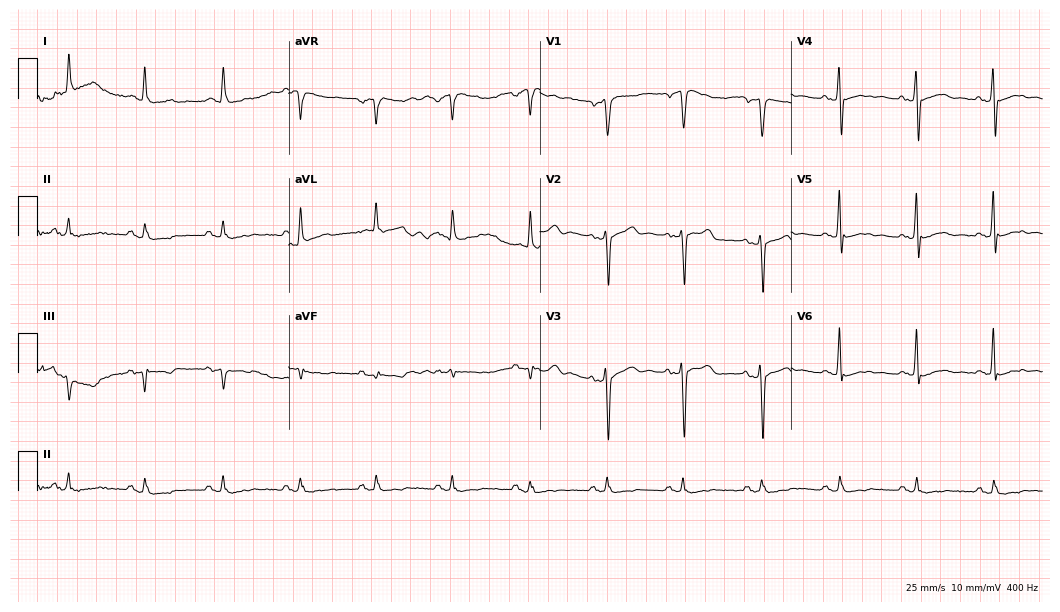
12-lead ECG from a 45-year-old male. No first-degree AV block, right bundle branch block (RBBB), left bundle branch block (LBBB), sinus bradycardia, atrial fibrillation (AF) or sinus tachycardia recorded for this tracing.